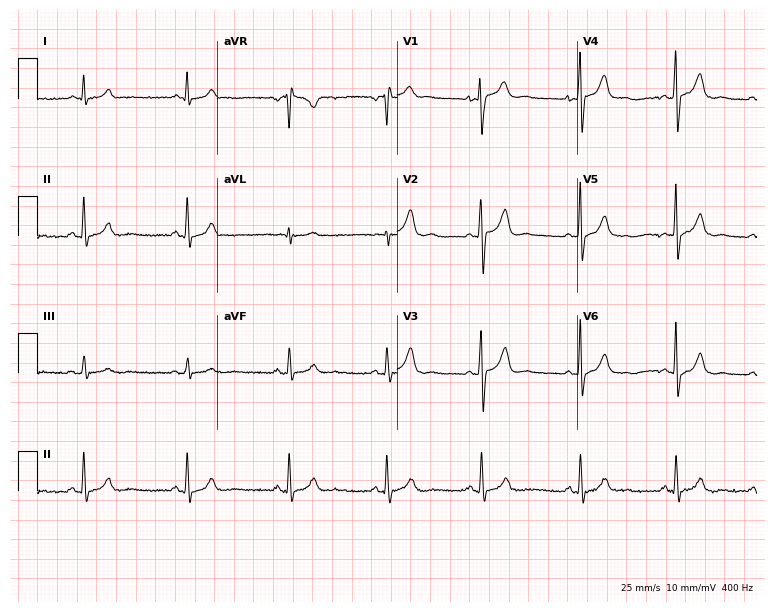
ECG (7.3-second recording at 400 Hz) — a 22-year-old man. Labelled as a normal ECG.